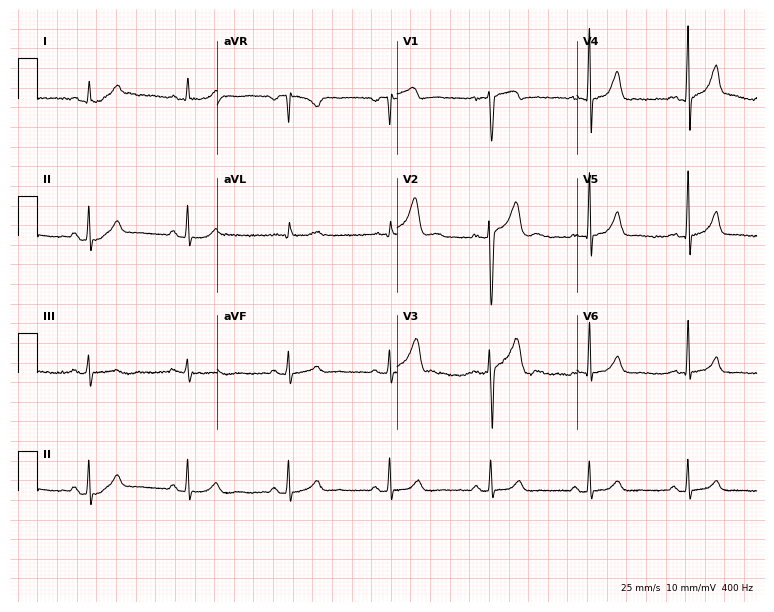
Resting 12-lead electrocardiogram. Patient: a male, 38 years old. Read as a normal ECG.